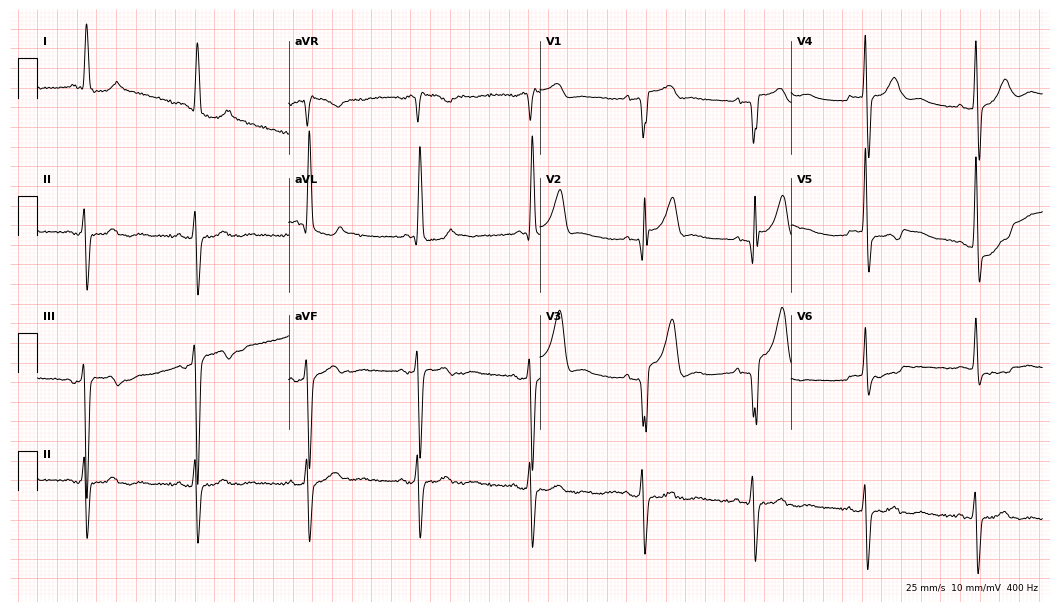
12-lead ECG from a 73-year-old male. Screened for six findings — first-degree AV block, right bundle branch block, left bundle branch block, sinus bradycardia, atrial fibrillation, sinus tachycardia — none is recorded. Other findings, if any, are not listed.